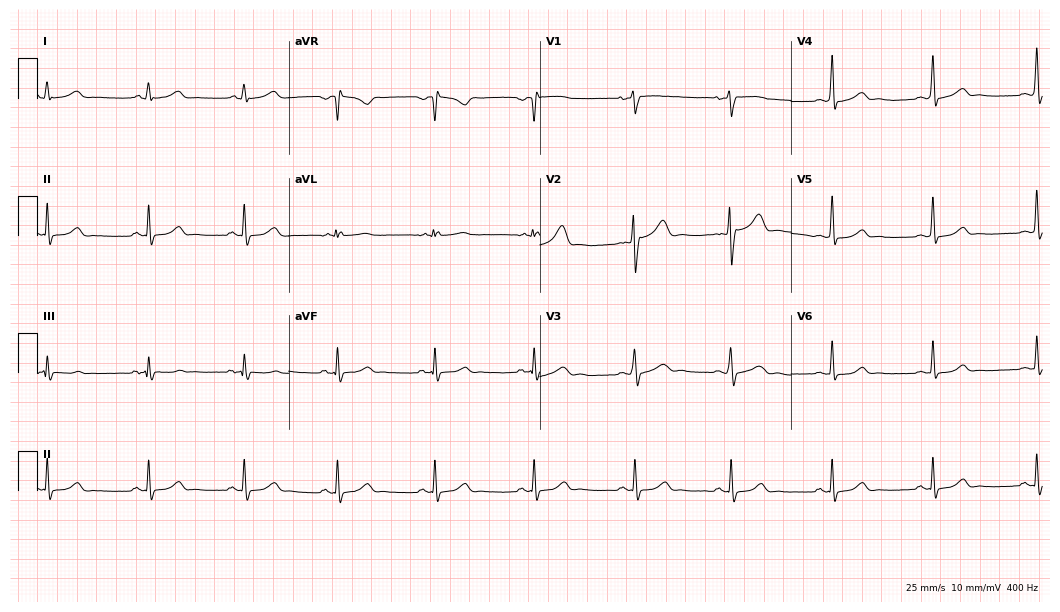
Resting 12-lead electrocardiogram. Patient: a male, 29 years old. Read as a normal ECG.